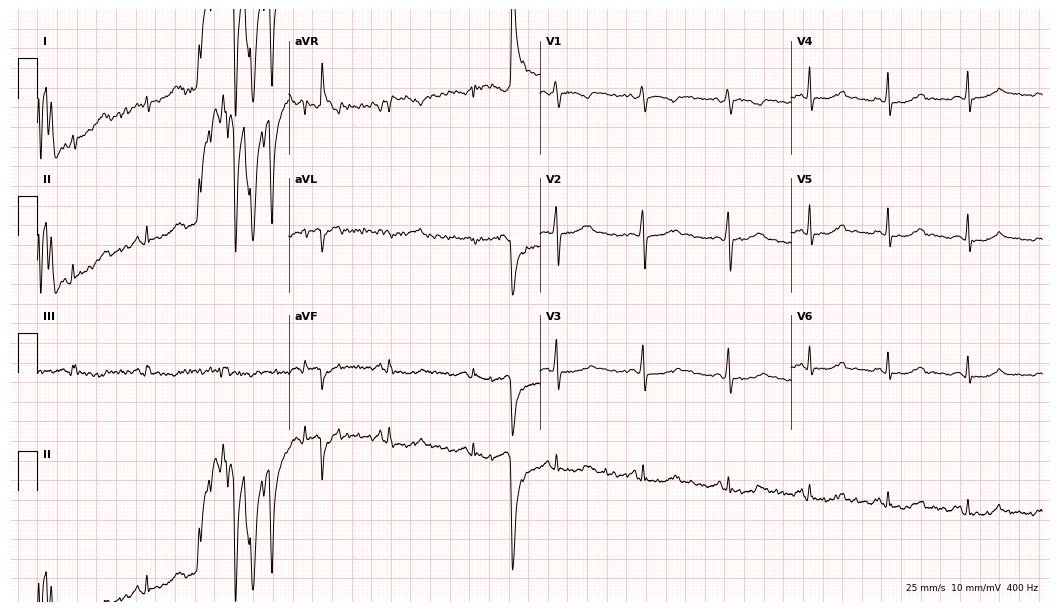
12-lead ECG (10.2-second recording at 400 Hz) from a female patient, 33 years old. Screened for six findings — first-degree AV block, right bundle branch block, left bundle branch block, sinus bradycardia, atrial fibrillation, sinus tachycardia — none is recorded.